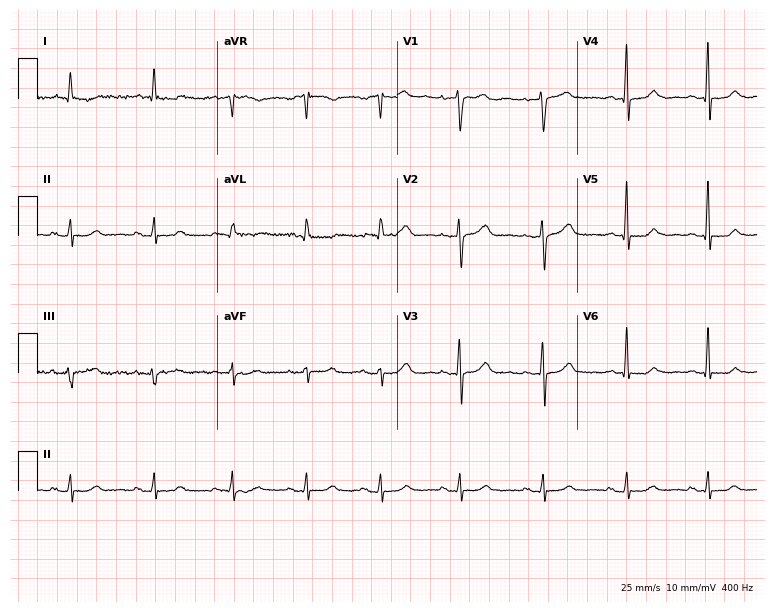
Resting 12-lead electrocardiogram (7.3-second recording at 400 Hz). Patient: a man, 59 years old. Read as a normal ECG.